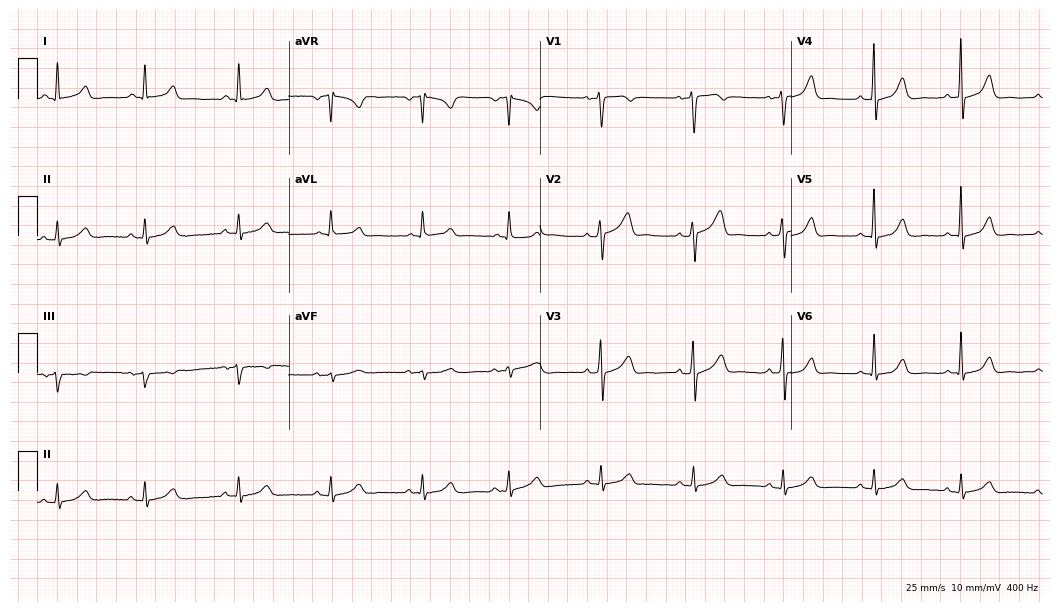
Resting 12-lead electrocardiogram. Patient: a 37-year-old female. Read as a normal ECG.